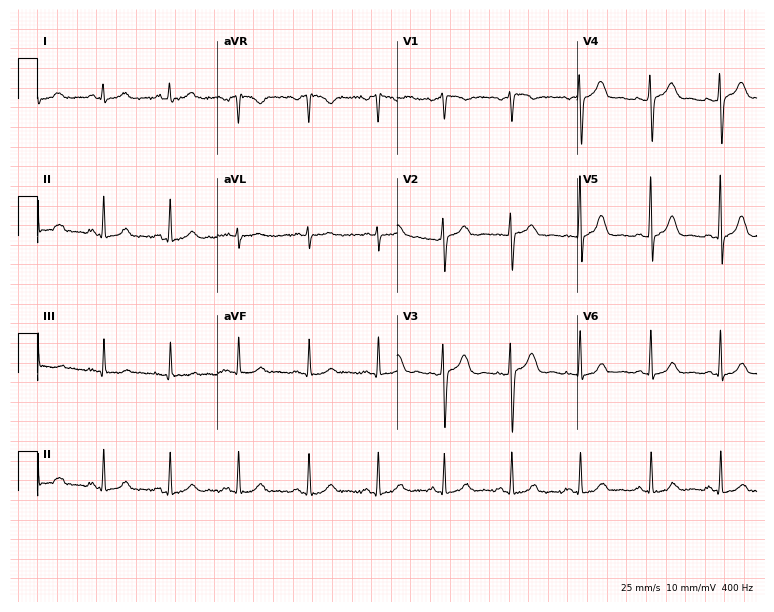
12-lead ECG (7.3-second recording at 400 Hz) from a 43-year-old female. Labelled as a normal ECG.